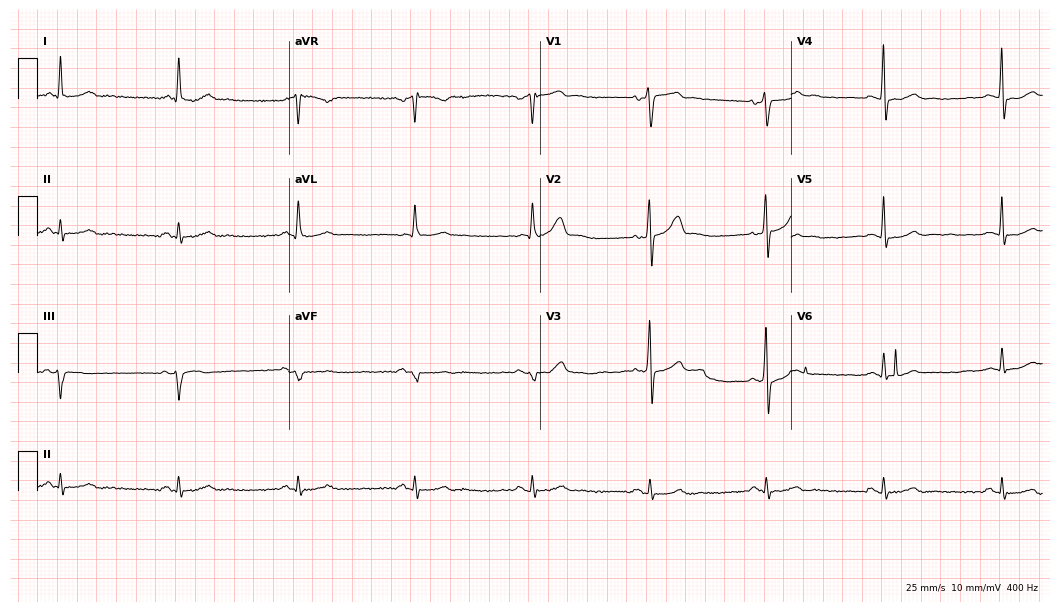
ECG — a 65-year-old male. Labelled as a normal ECG.